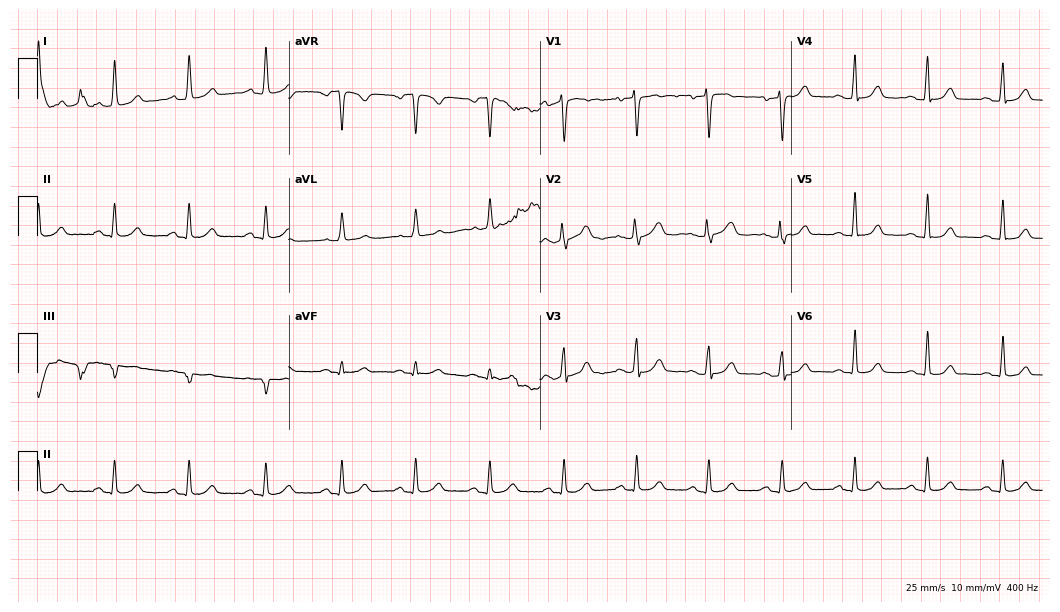
ECG — a 58-year-old female patient. Labelled as a normal ECG.